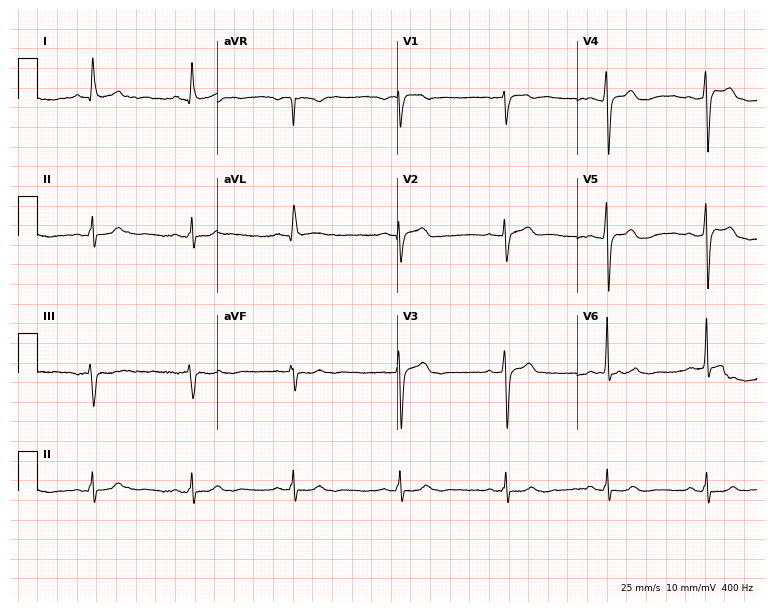
Resting 12-lead electrocardiogram. Patient: an 83-year-old man. None of these six findings is recorded: first-degree AV block, right bundle branch block (RBBB), left bundle branch block (LBBB), sinus bradycardia, atrial fibrillation (AF), sinus tachycardia.